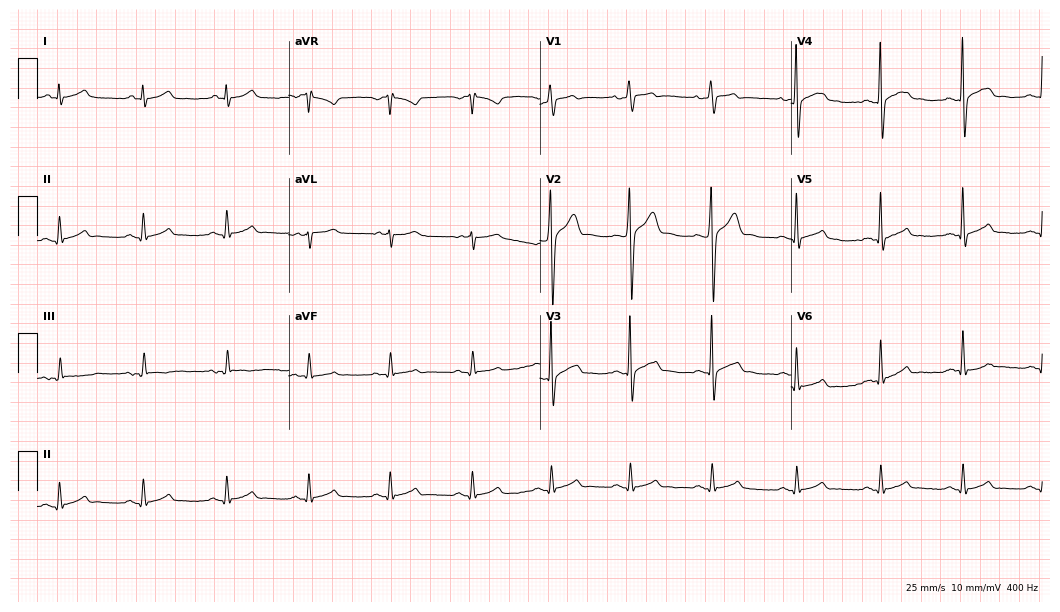
ECG (10.2-second recording at 400 Hz) — a male, 30 years old. Labelled as a normal ECG.